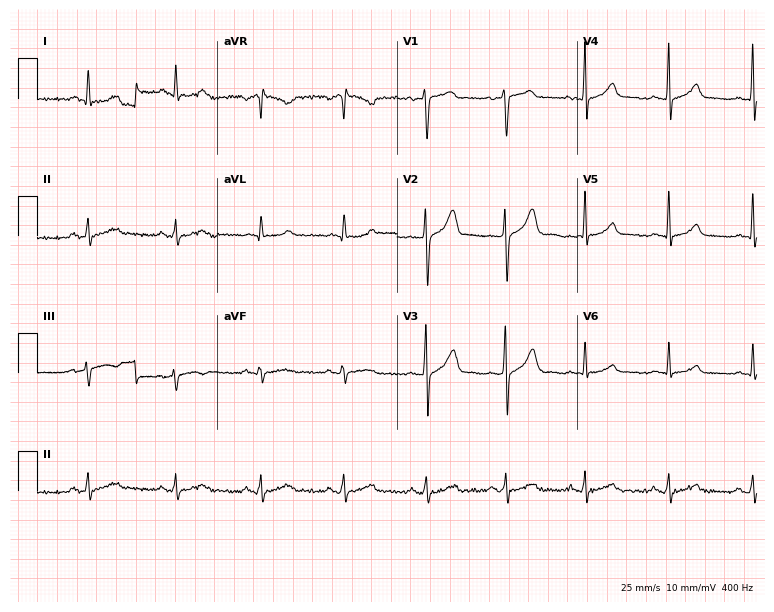
12-lead ECG from a male patient, 44 years old. Recorded interpretation: within normal limits.